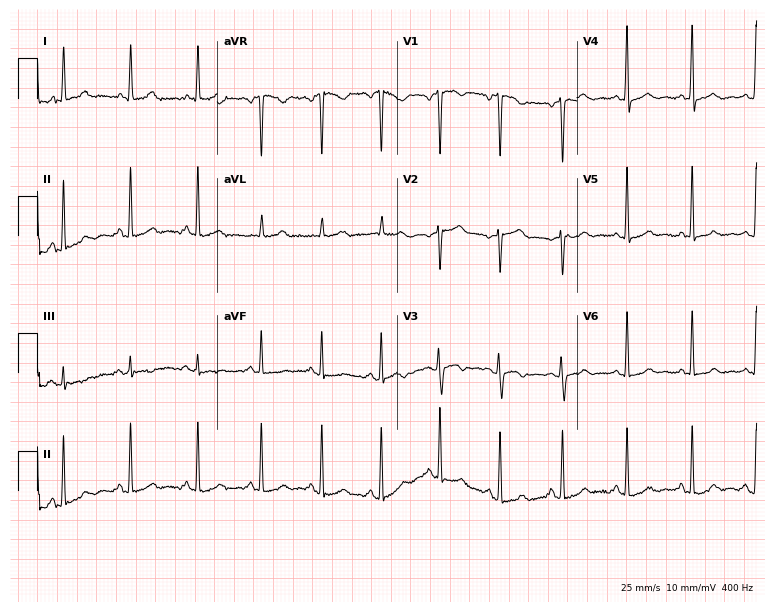
Resting 12-lead electrocardiogram. Patient: a woman, 53 years old. None of these six findings is recorded: first-degree AV block, right bundle branch block, left bundle branch block, sinus bradycardia, atrial fibrillation, sinus tachycardia. Other findings, if any, are not listed.